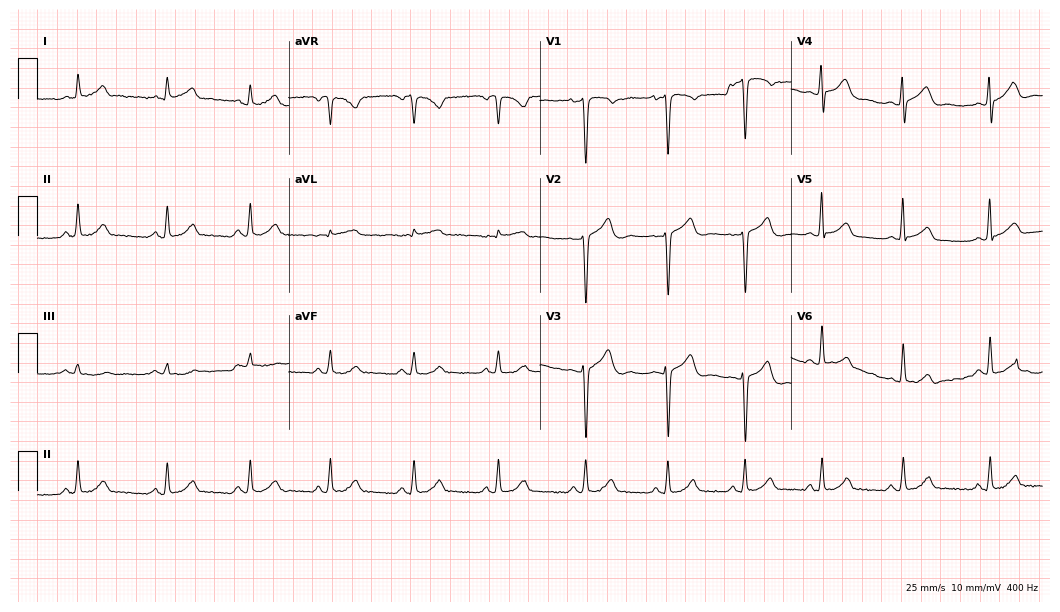
Standard 12-lead ECG recorded from a 21-year-old male patient. None of these six findings is recorded: first-degree AV block, right bundle branch block, left bundle branch block, sinus bradycardia, atrial fibrillation, sinus tachycardia. Only these six findings were labelled.